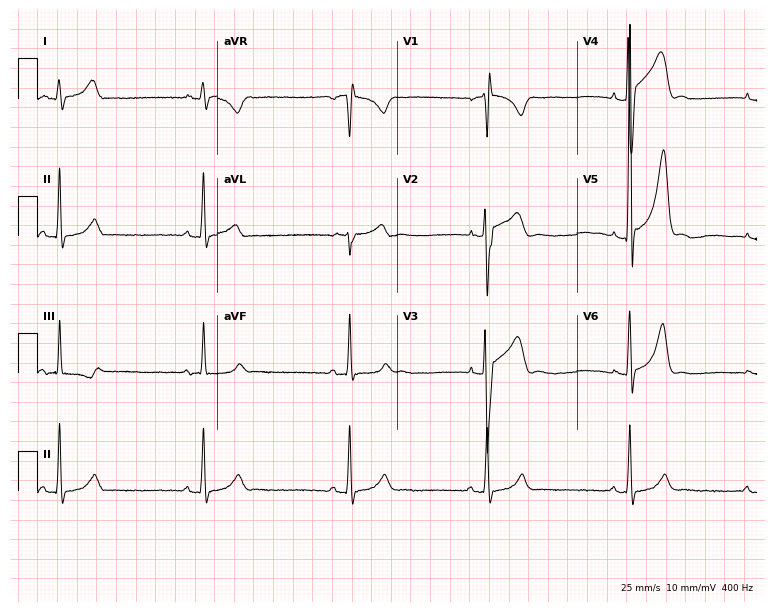
Standard 12-lead ECG recorded from a 27-year-old male (7.3-second recording at 400 Hz). The tracing shows sinus bradycardia (a sinus rate of 50 beats per minute or less).